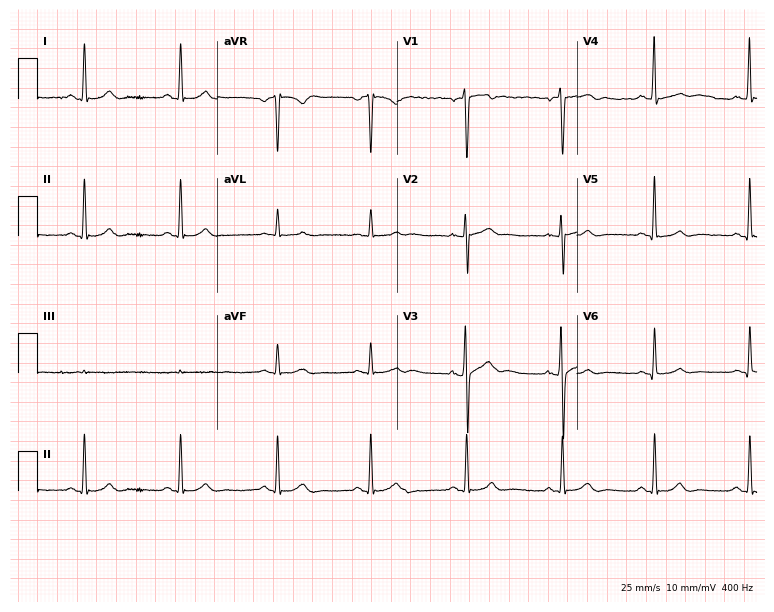
12-lead ECG (7.3-second recording at 400 Hz) from a male patient, 42 years old. Screened for six findings — first-degree AV block, right bundle branch block, left bundle branch block, sinus bradycardia, atrial fibrillation, sinus tachycardia — none is recorded.